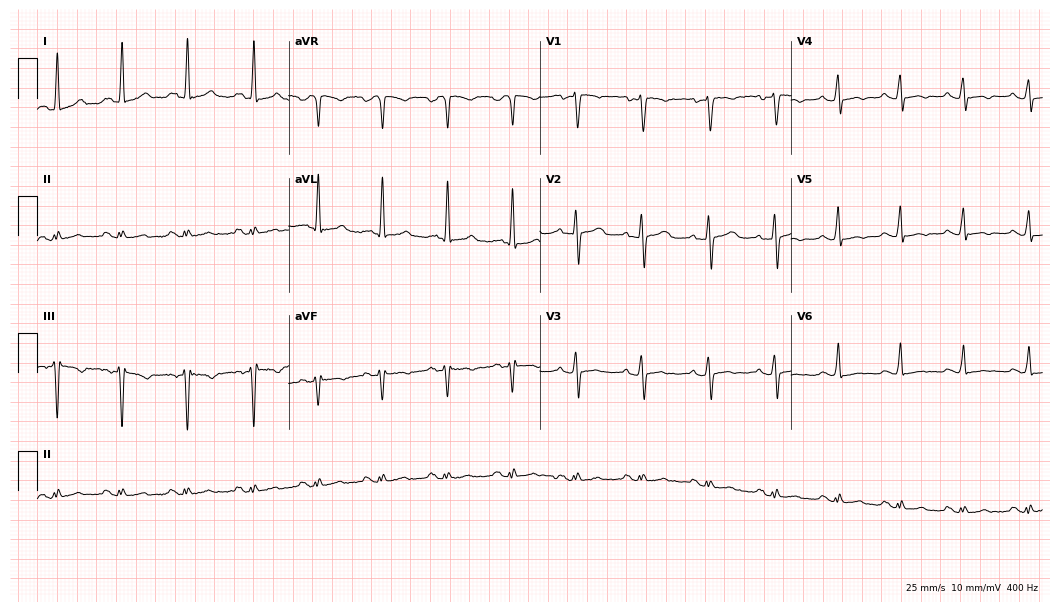
12-lead ECG from a female patient, 44 years old. Screened for six findings — first-degree AV block, right bundle branch block, left bundle branch block, sinus bradycardia, atrial fibrillation, sinus tachycardia — none is recorded. Other findings, if any, are not listed.